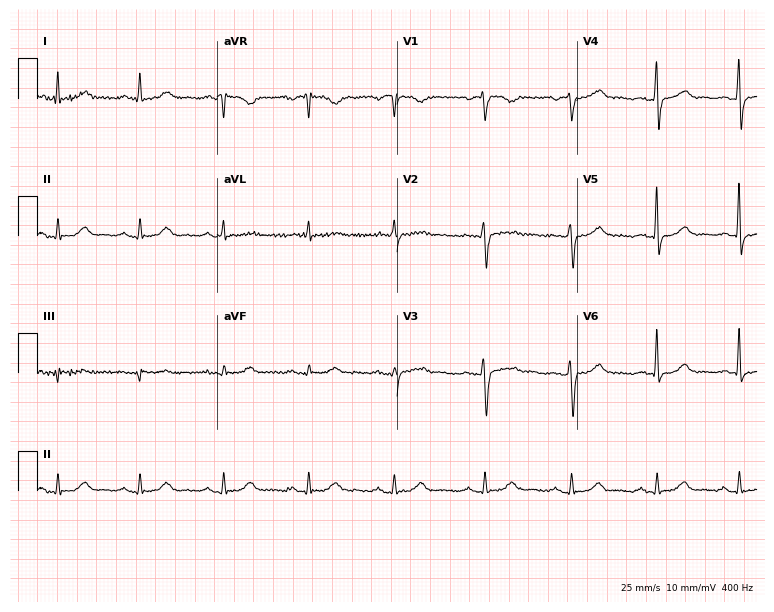
Resting 12-lead electrocardiogram. Patient: a 45-year-old female. Read as a normal ECG.